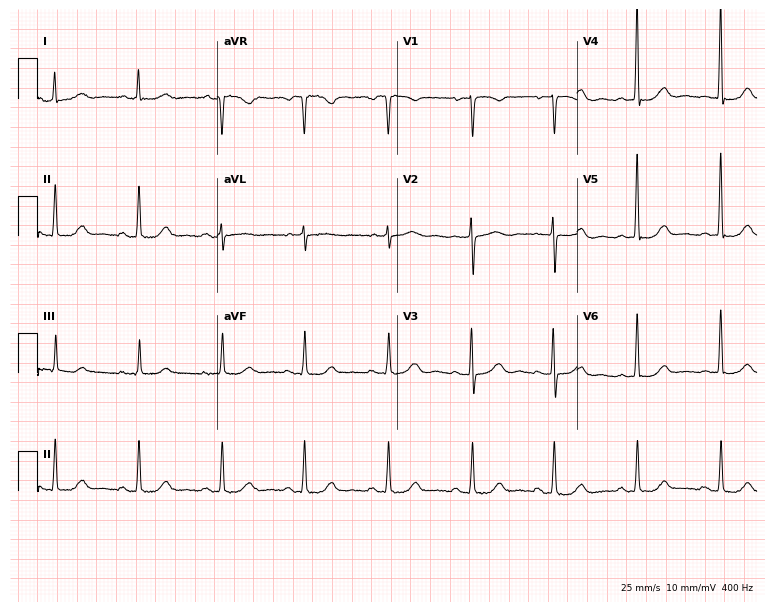
ECG (7.3-second recording at 400 Hz) — a female patient, 76 years old. Screened for six findings — first-degree AV block, right bundle branch block, left bundle branch block, sinus bradycardia, atrial fibrillation, sinus tachycardia — none is recorded.